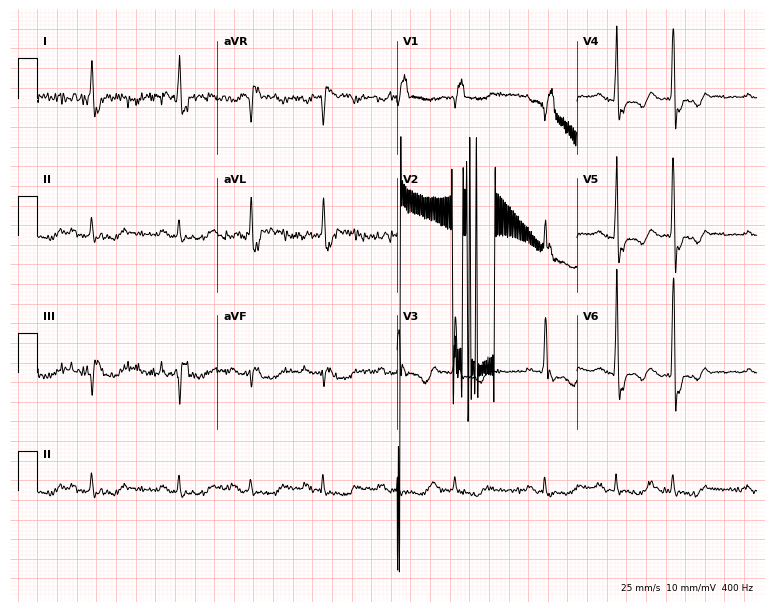
Resting 12-lead electrocardiogram. Patient: a male, 78 years old. None of these six findings is recorded: first-degree AV block, right bundle branch block, left bundle branch block, sinus bradycardia, atrial fibrillation, sinus tachycardia.